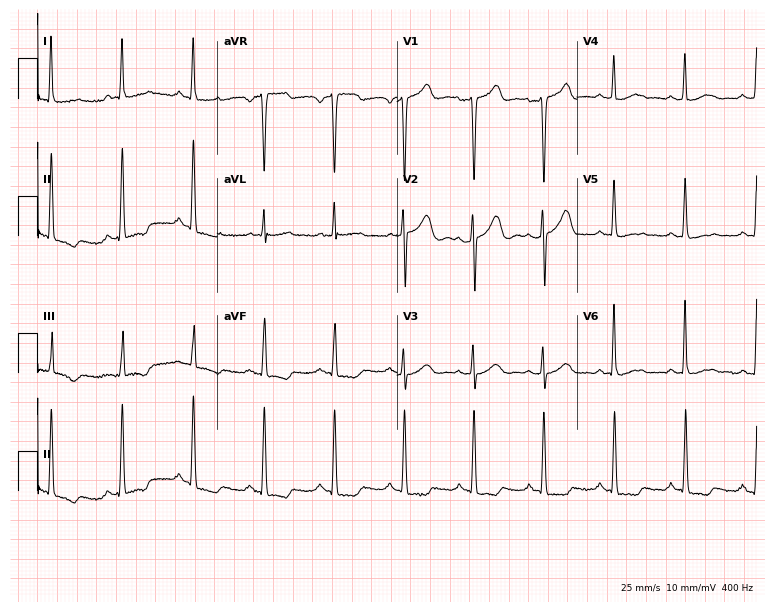
Electrocardiogram (7.3-second recording at 400 Hz), a 42-year-old female. Of the six screened findings (first-degree AV block, right bundle branch block, left bundle branch block, sinus bradycardia, atrial fibrillation, sinus tachycardia), none is recorded. Other findings, if any, are not listed.